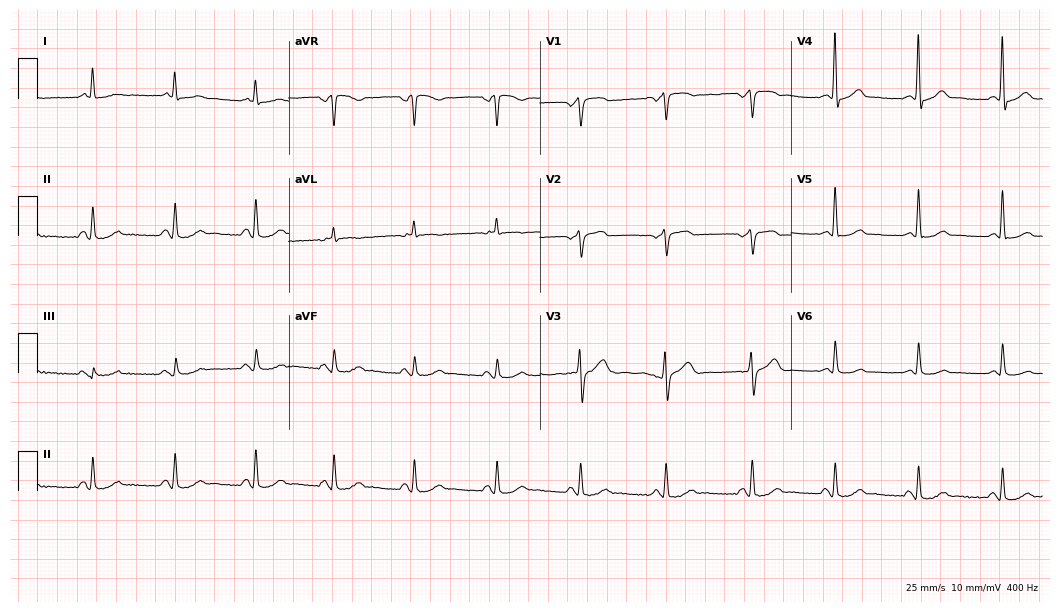
Electrocardiogram, a 71-year-old male patient. Overall reading on record: normal ECG.